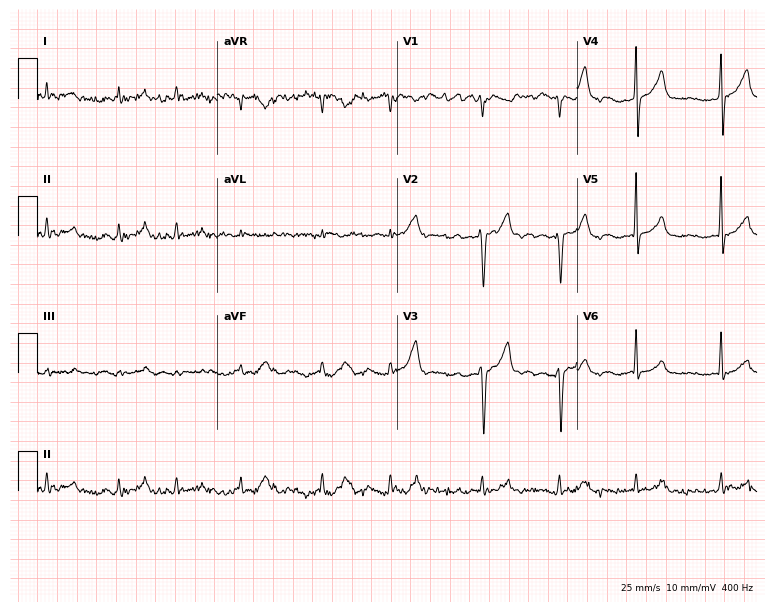
Electrocardiogram (7.3-second recording at 400 Hz), a male, 74 years old. Interpretation includes atrial fibrillation.